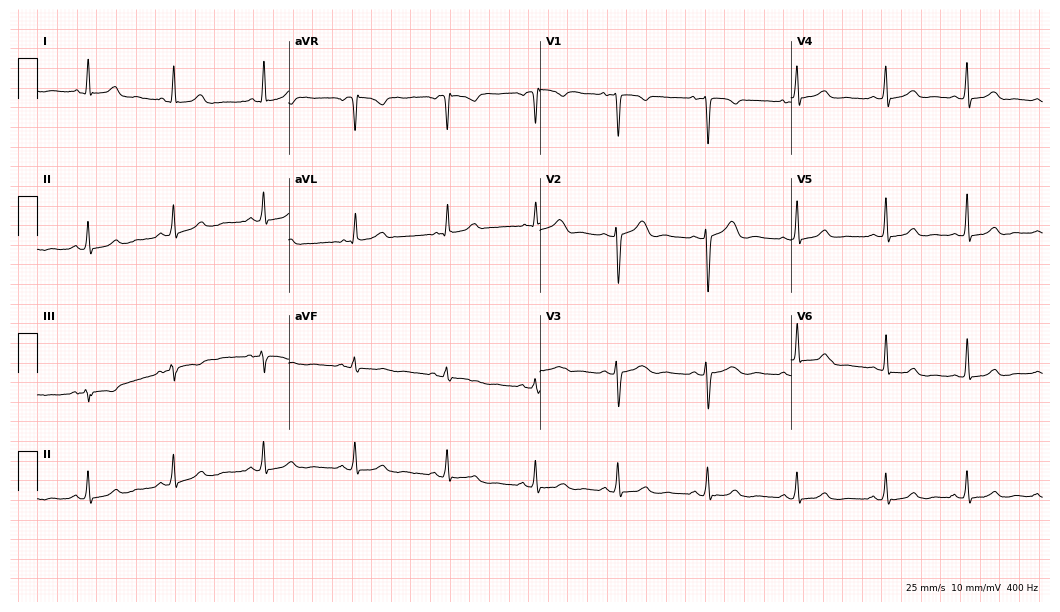
Resting 12-lead electrocardiogram (10.2-second recording at 400 Hz). Patient: a 23-year-old woman. Read as a normal ECG.